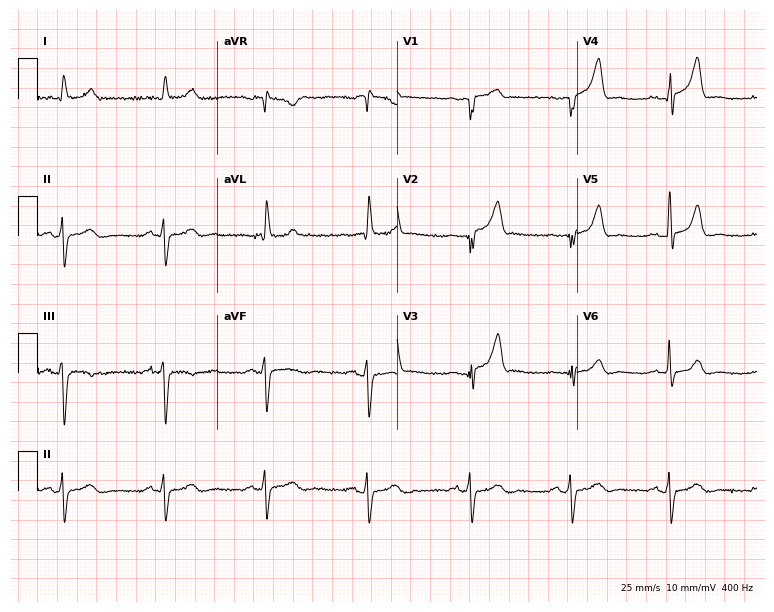
Electrocardiogram, a male, 79 years old. Of the six screened findings (first-degree AV block, right bundle branch block (RBBB), left bundle branch block (LBBB), sinus bradycardia, atrial fibrillation (AF), sinus tachycardia), none is recorded. Other findings, if any, are not listed.